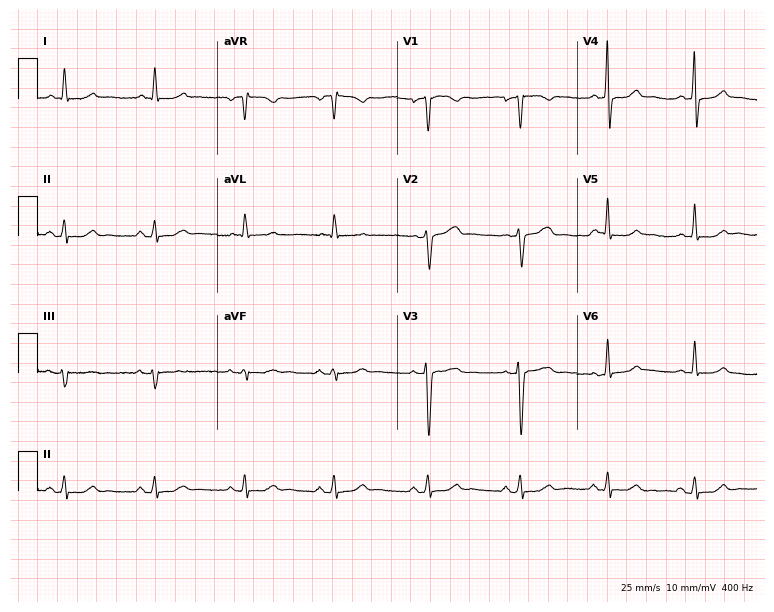
Electrocardiogram (7.3-second recording at 400 Hz), a 46-year-old woman. Of the six screened findings (first-degree AV block, right bundle branch block, left bundle branch block, sinus bradycardia, atrial fibrillation, sinus tachycardia), none is recorded.